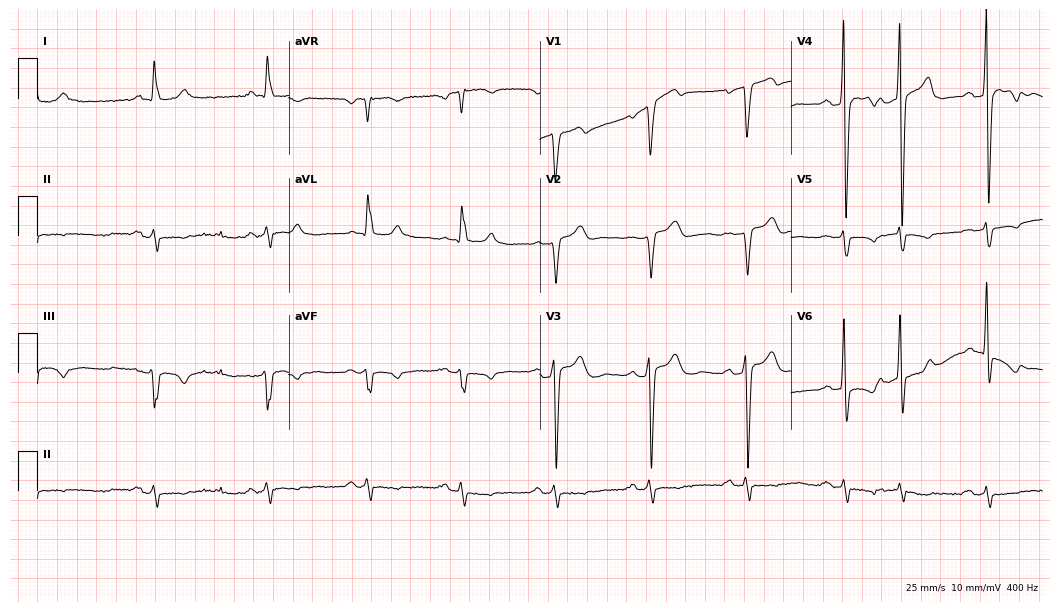
12-lead ECG (10.2-second recording at 400 Hz) from a man, 77 years old. Screened for six findings — first-degree AV block, right bundle branch block, left bundle branch block, sinus bradycardia, atrial fibrillation, sinus tachycardia — none is recorded.